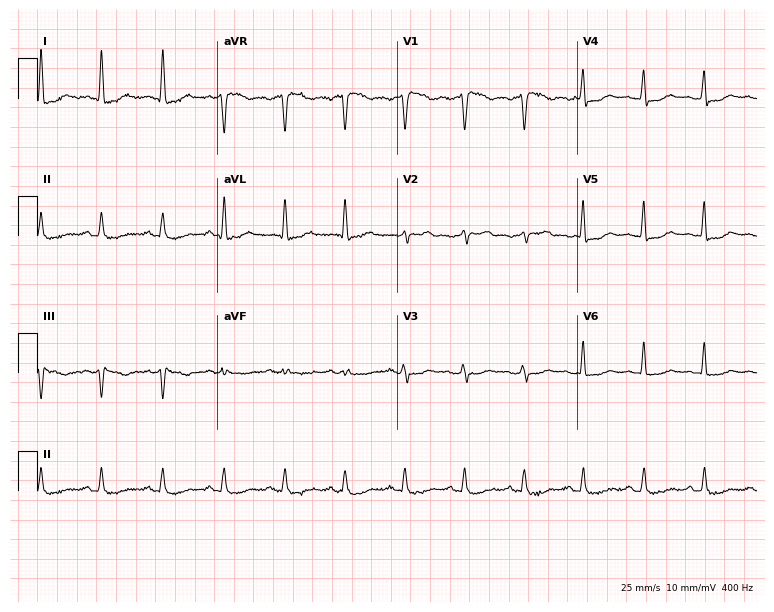
Resting 12-lead electrocardiogram (7.3-second recording at 400 Hz). Patient: a female, 54 years old. None of these six findings is recorded: first-degree AV block, right bundle branch block (RBBB), left bundle branch block (LBBB), sinus bradycardia, atrial fibrillation (AF), sinus tachycardia. Only these six findings were labelled.